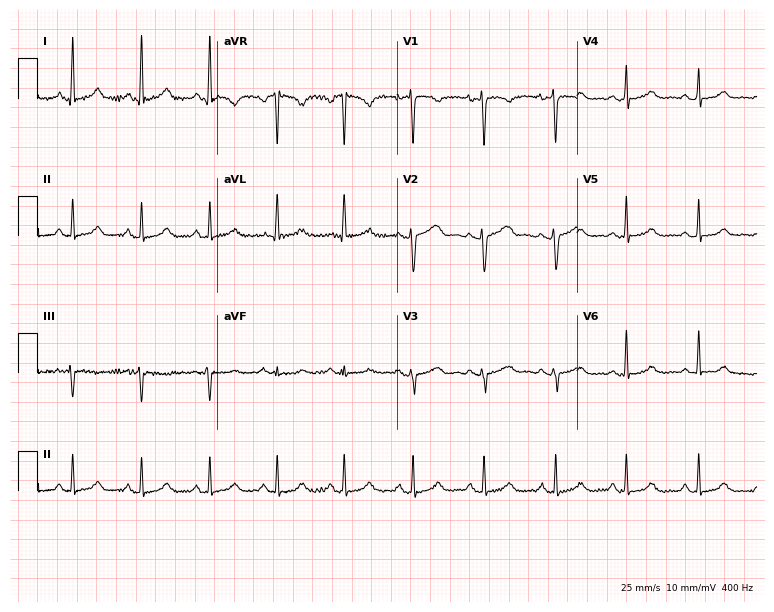
12-lead ECG from a female patient, 37 years old (7.3-second recording at 400 Hz). No first-degree AV block, right bundle branch block, left bundle branch block, sinus bradycardia, atrial fibrillation or sinus tachycardia recorded for this tracing. Only these six findings were labelled.